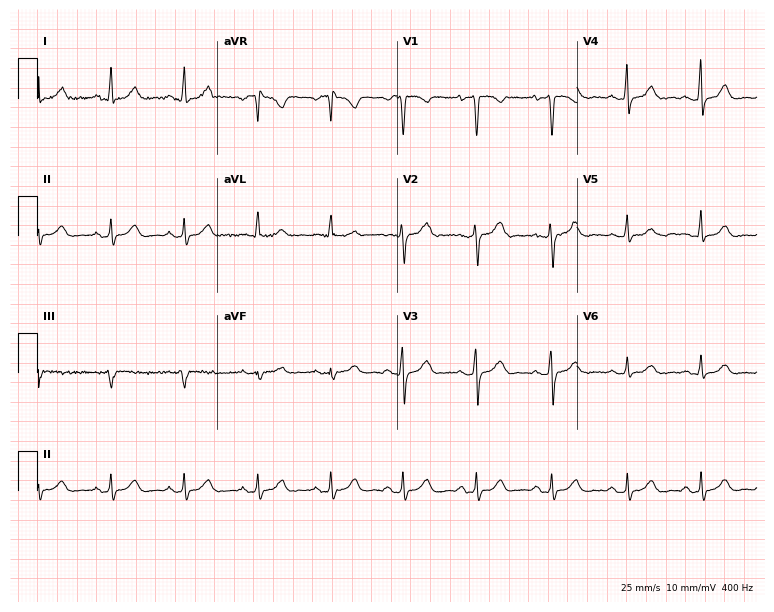
Electrocardiogram (7.3-second recording at 400 Hz), a 52-year-old female patient. Overall reading on record: normal ECG.